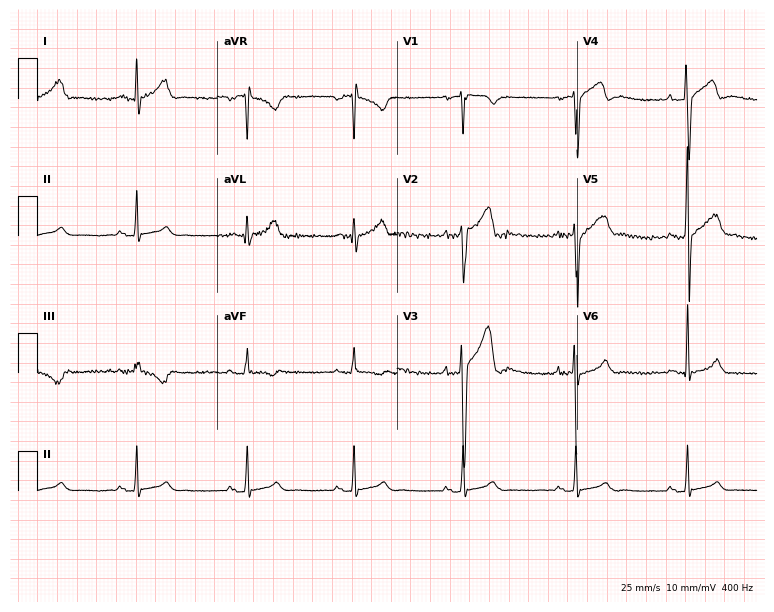
Electrocardiogram (7.3-second recording at 400 Hz), a 25-year-old male patient. Of the six screened findings (first-degree AV block, right bundle branch block, left bundle branch block, sinus bradycardia, atrial fibrillation, sinus tachycardia), none is recorded.